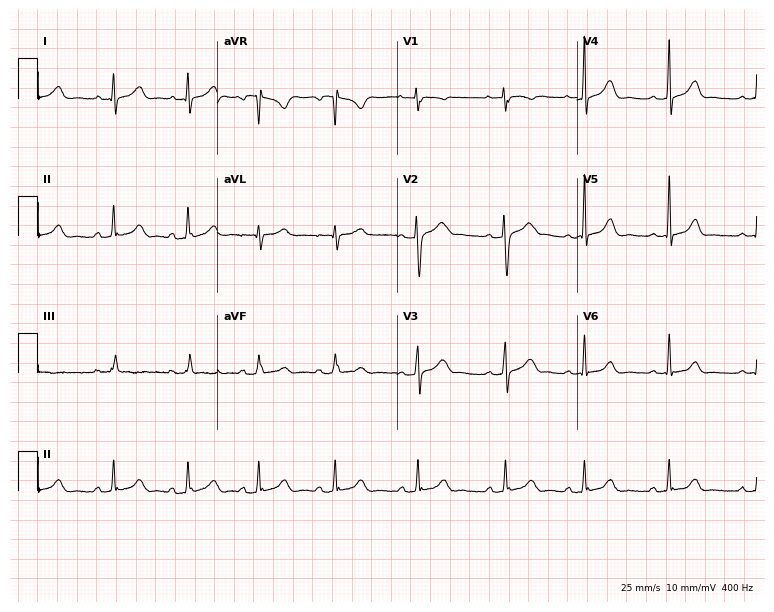
12-lead ECG from a female, 18 years old. Labelled as a normal ECG.